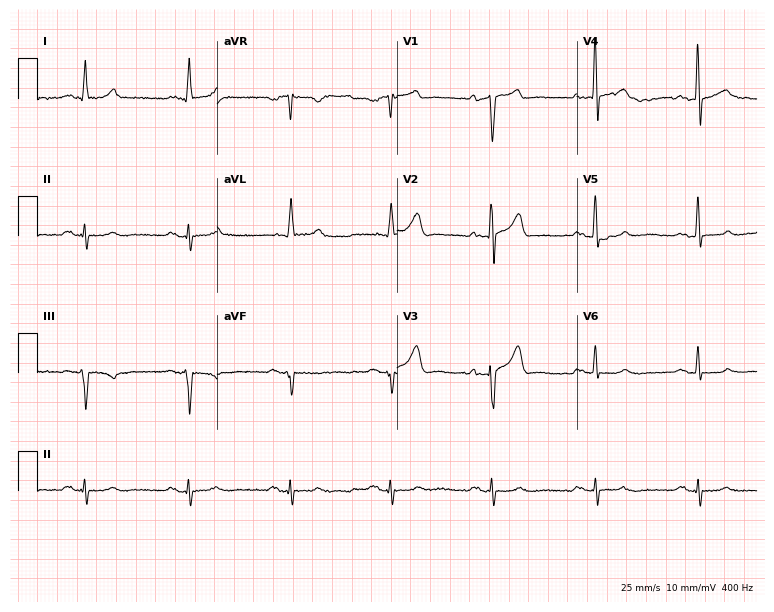
ECG (7.3-second recording at 400 Hz) — a male patient, 64 years old. Screened for six findings — first-degree AV block, right bundle branch block, left bundle branch block, sinus bradycardia, atrial fibrillation, sinus tachycardia — none is recorded. Only these six findings were labelled.